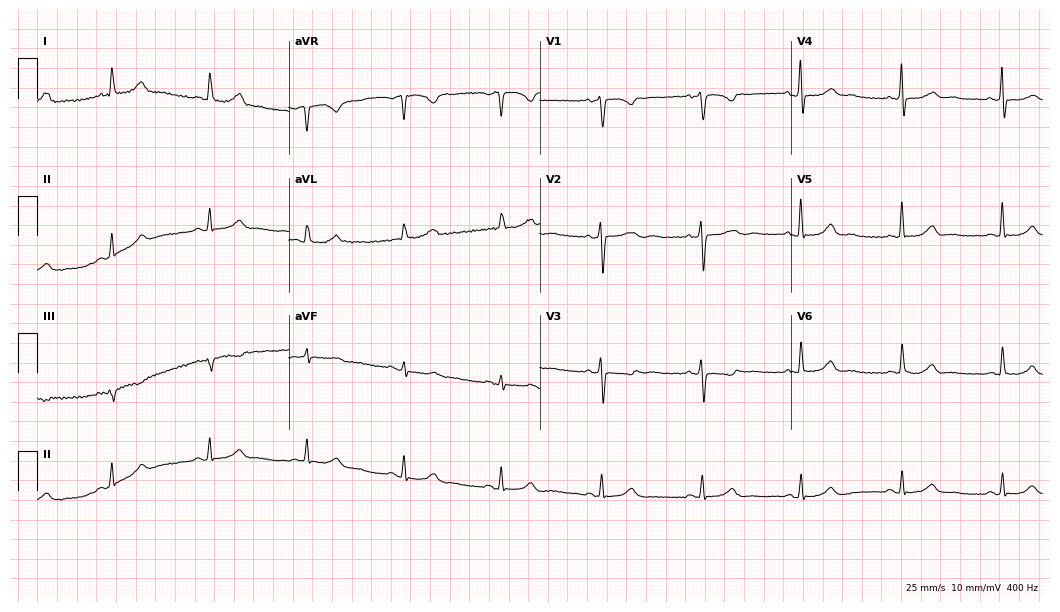
Resting 12-lead electrocardiogram. Patient: a 67-year-old female. None of these six findings is recorded: first-degree AV block, right bundle branch block (RBBB), left bundle branch block (LBBB), sinus bradycardia, atrial fibrillation (AF), sinus tachycardia.